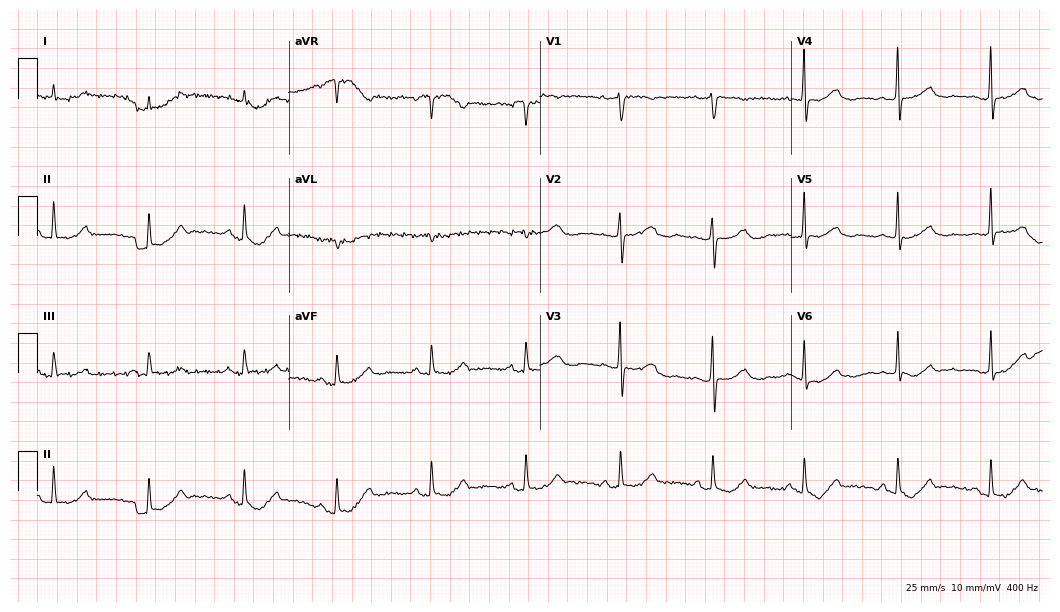
Resting 12-lead electrocardiogram. Patient: a 79-year-old woman. Read as a normal ECG.